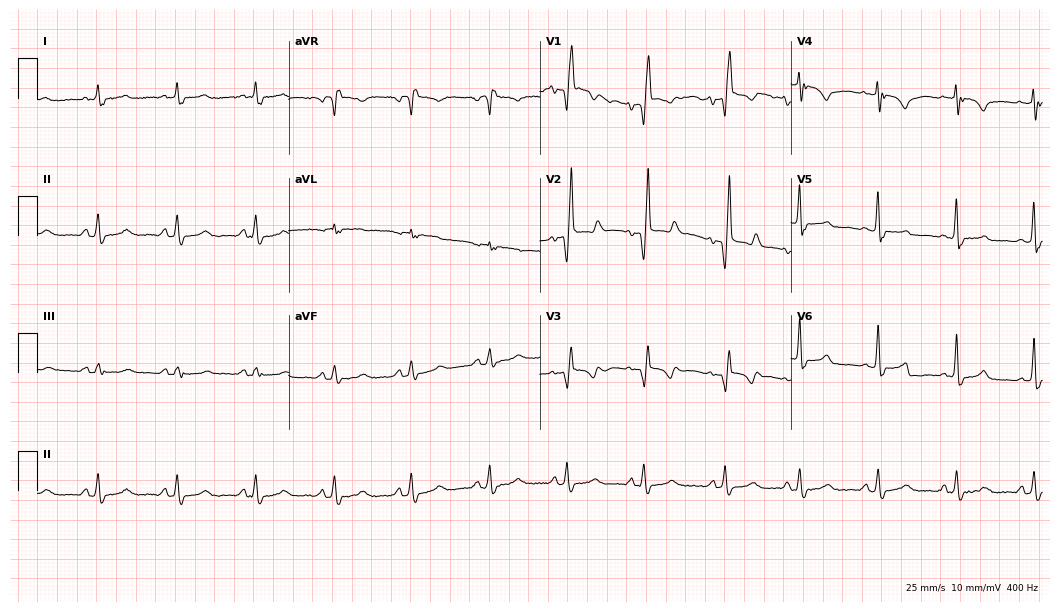
Electrocardiogram, a 62-year-old man. Interpretation includes right bundle branch block (RBBB).